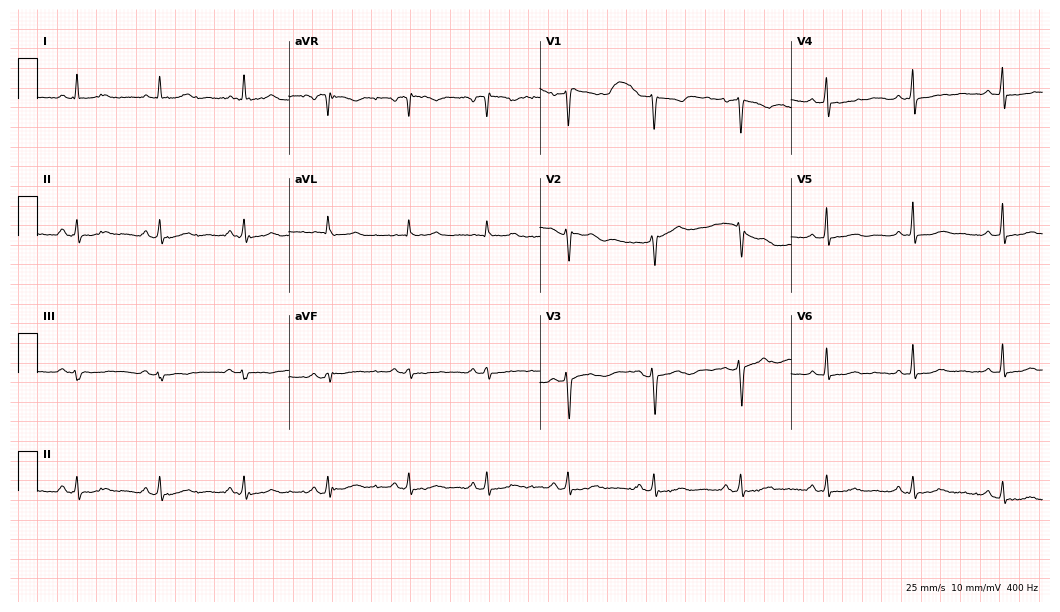
12-lead ECG from a 51-year-old woman. Screened for six findings — first-degree AV block, right bundle branch block, left bundle branch block, sinus bradycardia, atrial fibrillation, sinus tachycardia — none is recorded.